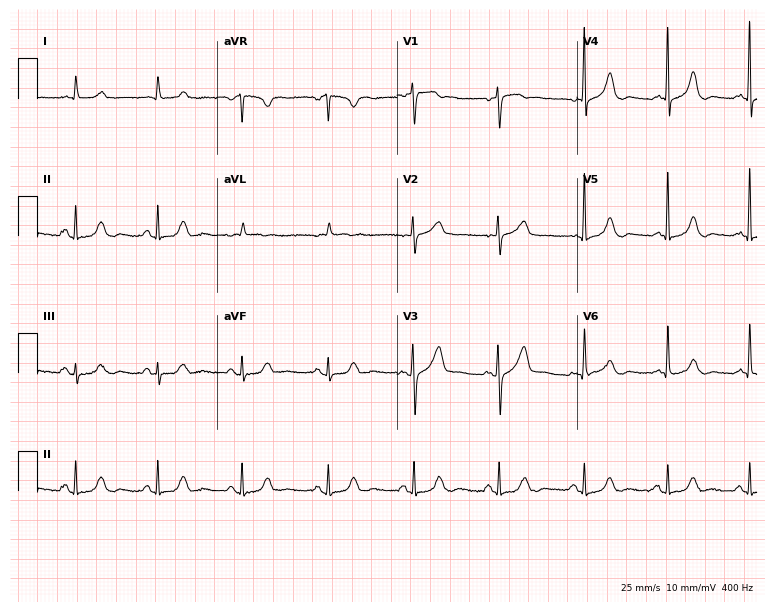
Resting 12-lead electrocardiogram (7.3-second recording at 400 Hz). Patient: a 68-year-old woman. Read as a normal ECG.